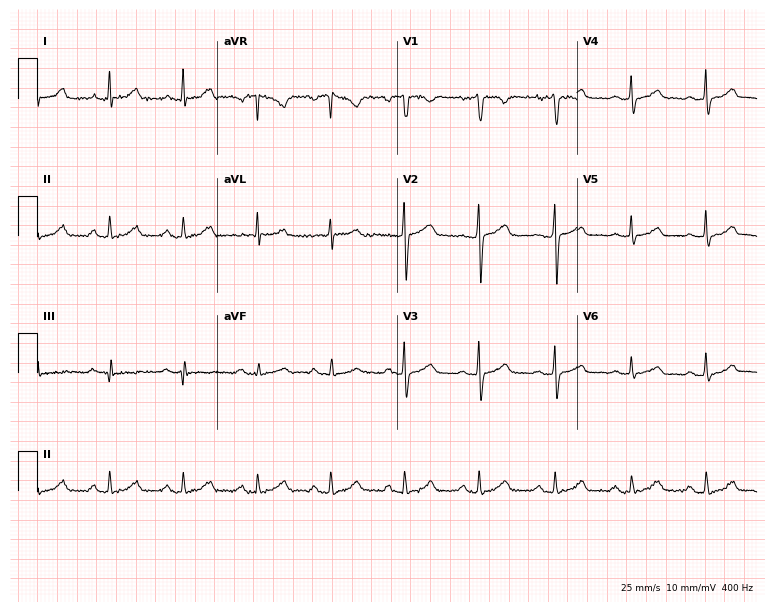
Electrocardiogram, a 43-year-old woman. Overall reading on record: normal ECG.